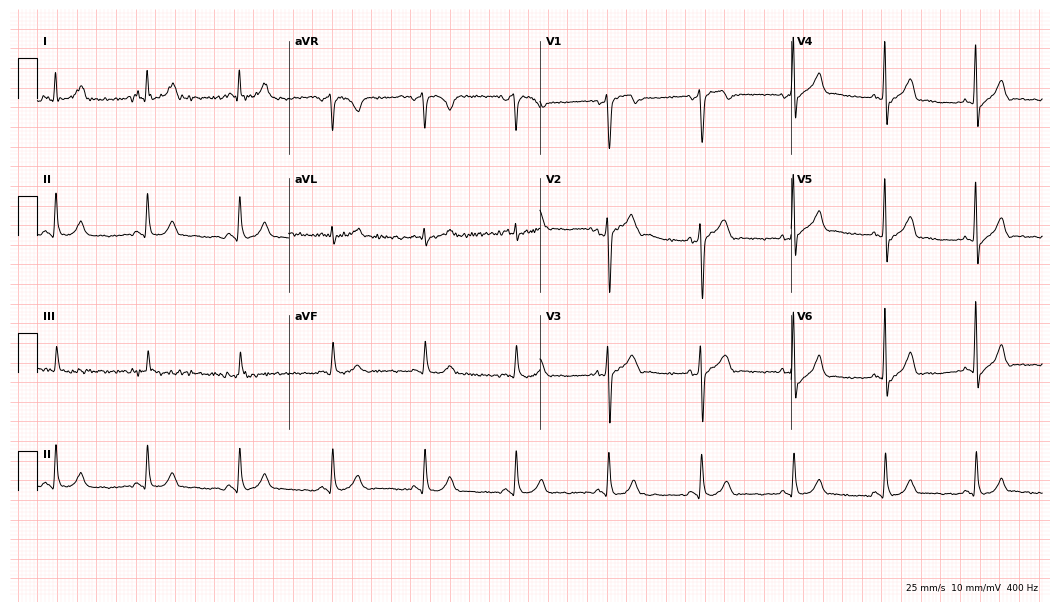
Resting 12-lead electrocardiogram (10.2-second recording at 400 Hz). Patient: a 58-year-old male. None of these six findings is recorded: first-degree AV block, right bundle branch block, left bundle branch block, sinus bradycardia, atrial fibrillation, sinus tachycardia. Only these six findings were labelled.